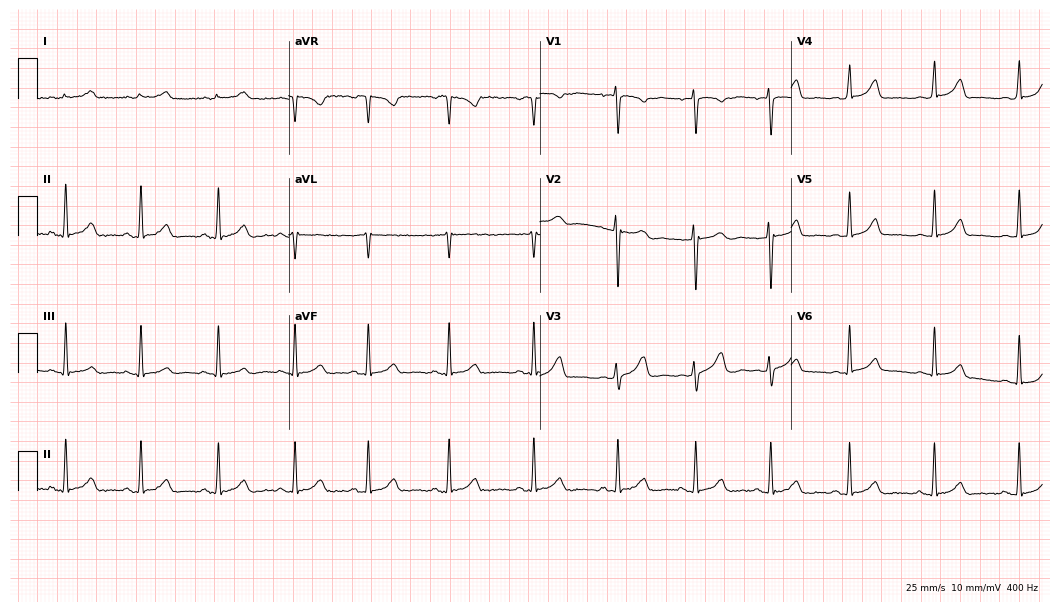
12-lead ECG from a female, 19 years old. Labelled as a normal ECG.